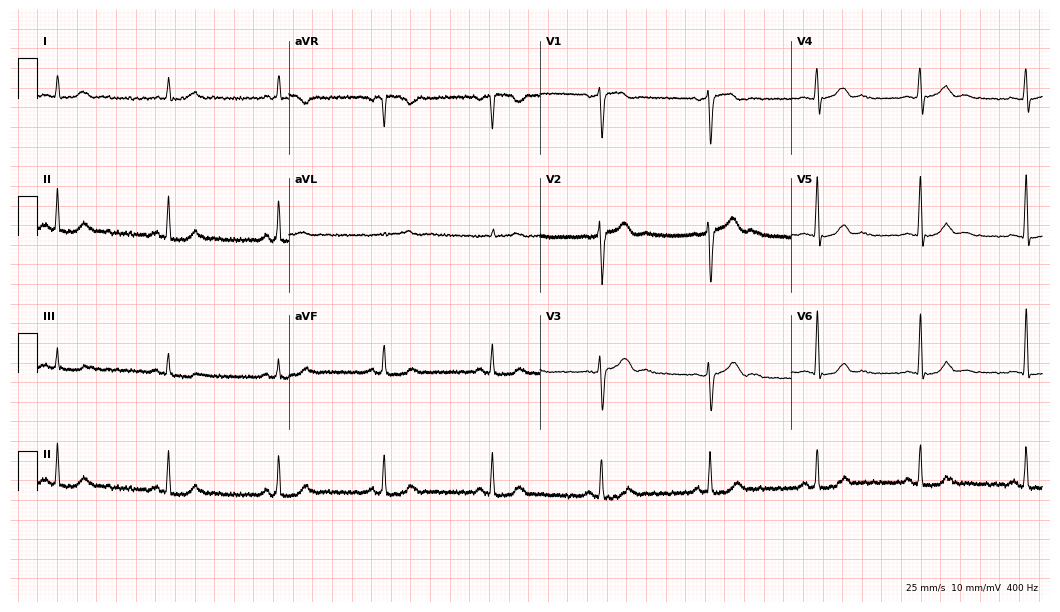
Electrocardiogram, a male, 47 years old. Overall reading on record: normal ECG.